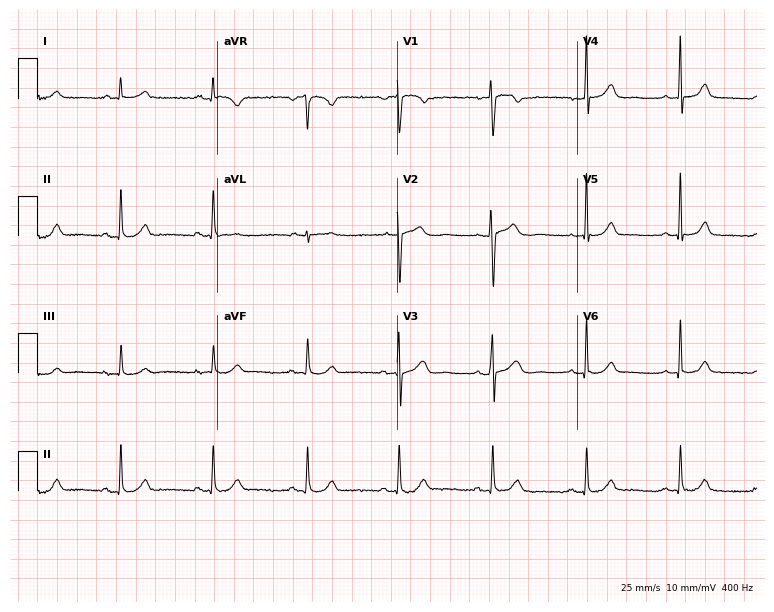
Standard 12-lead ECG recorded from a female patient, 56 years old (7.3-second recording at 400 Hz). Read as a normal ECG.